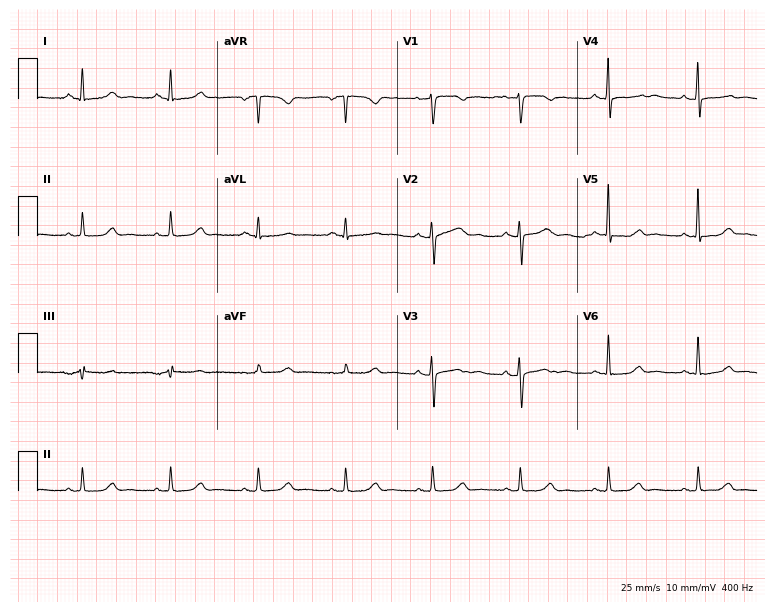
Resting 12-lead electrocardiogram (7.3-second recording at 400 Hz). Patient: a female, 43 years old. Read as a normal ECG.